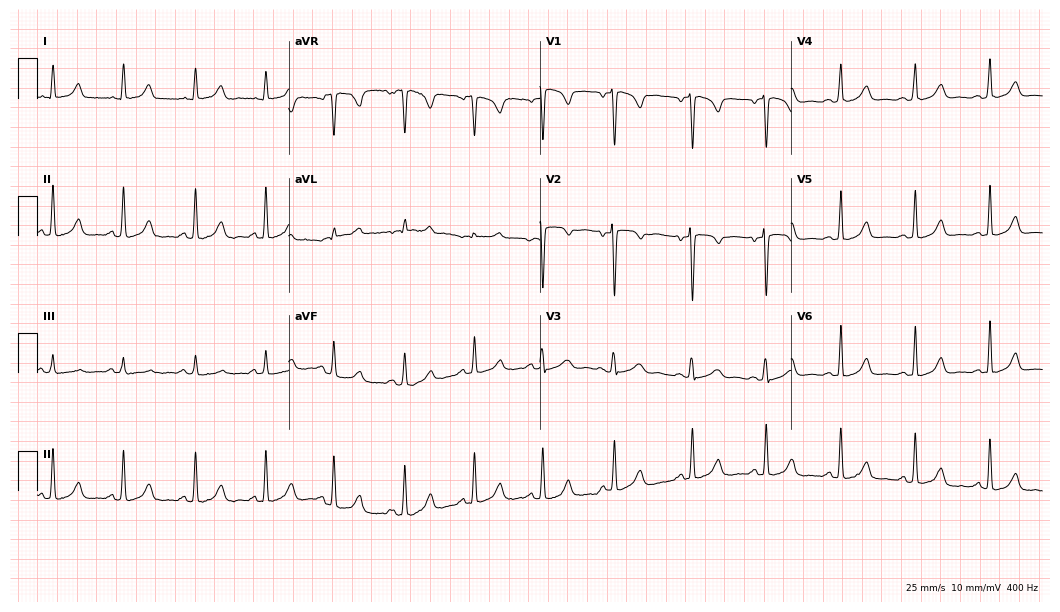
ECG (10.2-second recording at 400 Hz) — a female patient, 31 years old. Labelled as a normal ECG.